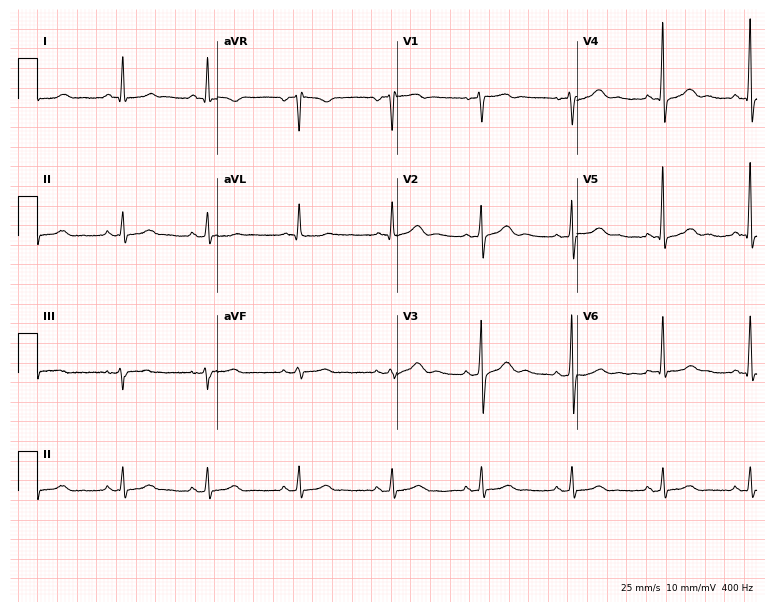
Electrocardiogram, a man, 64 years old. Overall reading on record: normal ECG.